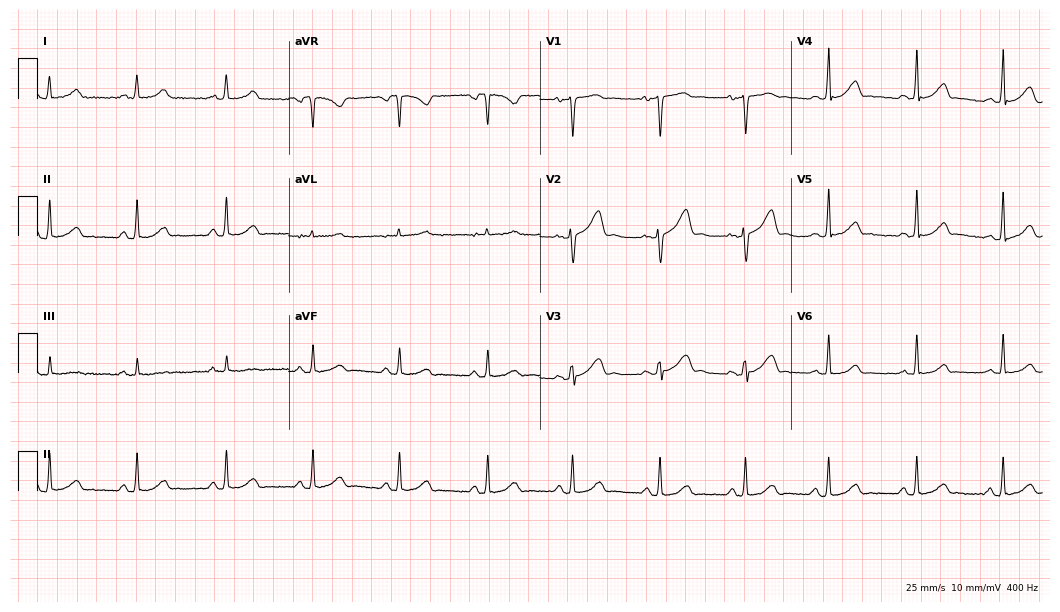
Resting 12-lead electrocardiogram (10.2-second recording at 400 Hz). Patient: a 20-year-old female. Read as a normal ECG.